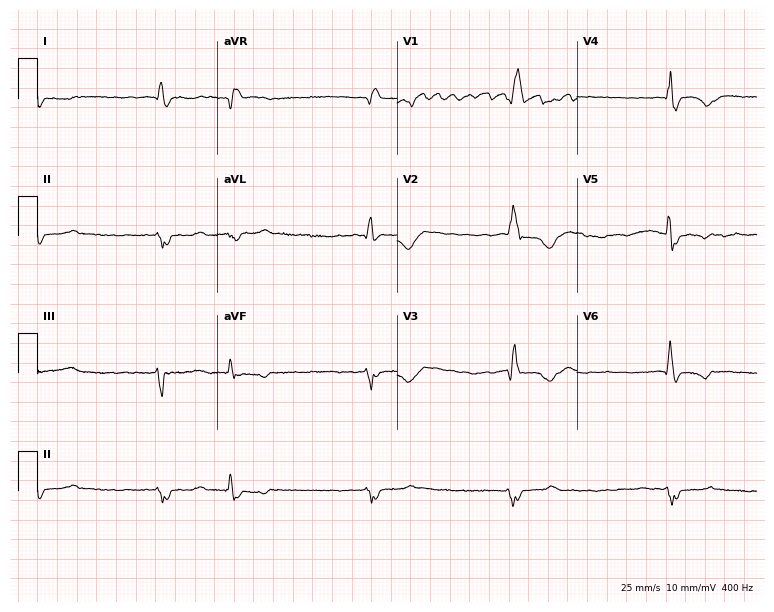
Standard 12-lead ECG recorded from a female, 82 years old (7.3-second recording at 400 Hz). None of these six findings is recorded: first-degree AV block, right bundle branch block, left bundle branch block, sinus bradycardia, atrial fibrillation, sinus tachycardia. Findings outside these six are not listed.